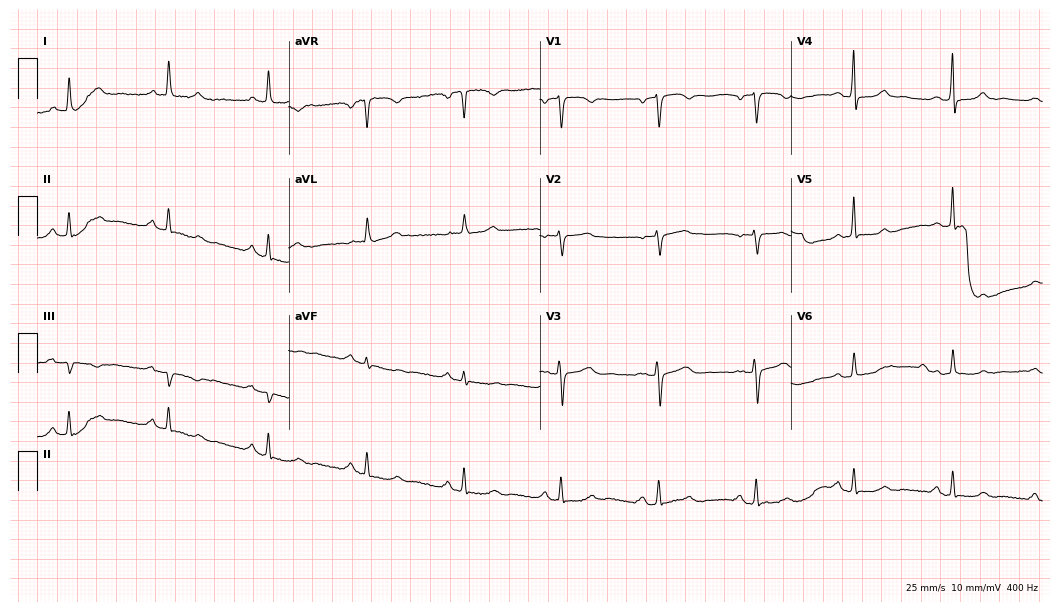
12-lead ECG from a 70-year-old female patient. Screened for six findings — first-degree AV block, right bundle branch block, left bundle branch block, sinus bradycardia, atrial fibrillation, sinus tachycardia — none is recorded.